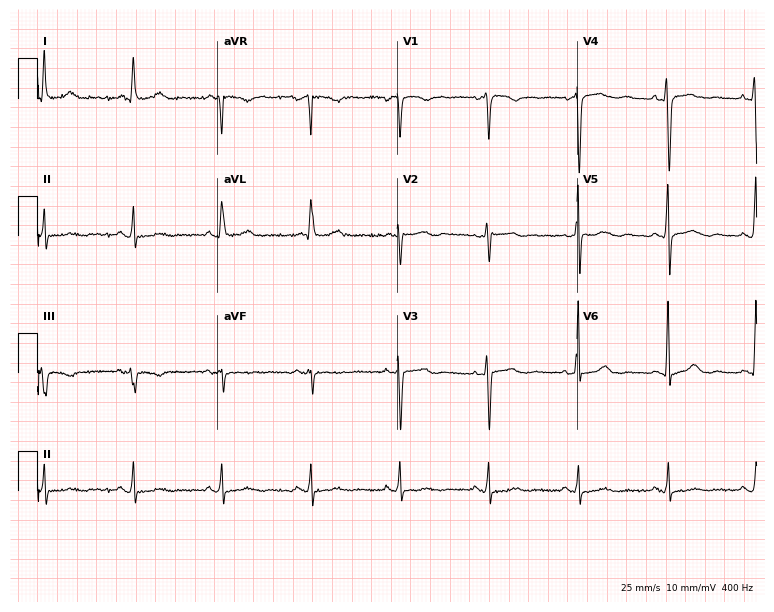
Electrocardiogram, a woman, 68 years old. Of the six screened findings (first-degree AV block, right bundle branch block (RBBB), left bundle branch block (LBBB), sinus bradycardia, atrial fibrillation (AF), sinus tachycardia), none is recorded.